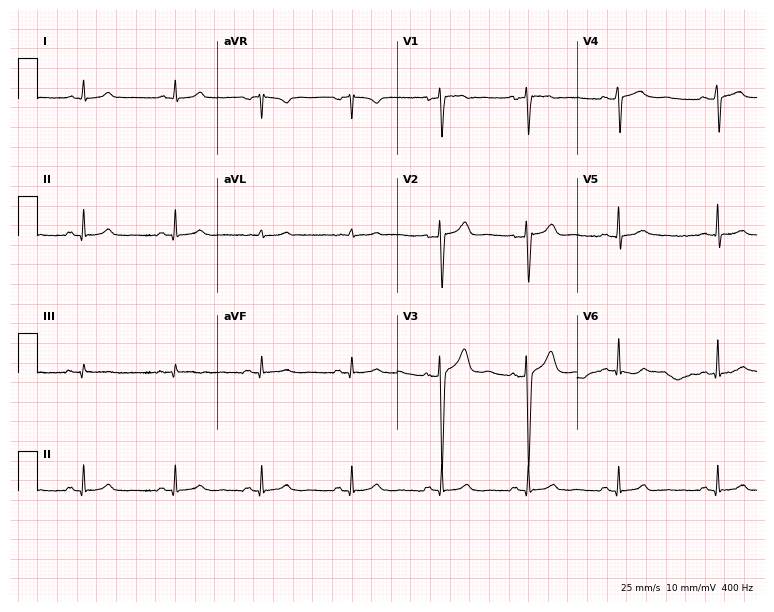
Electrocardiogram (7.3-second recording at 400 Hz), a 20-year-old male. Overall reading on record: normal ECG.